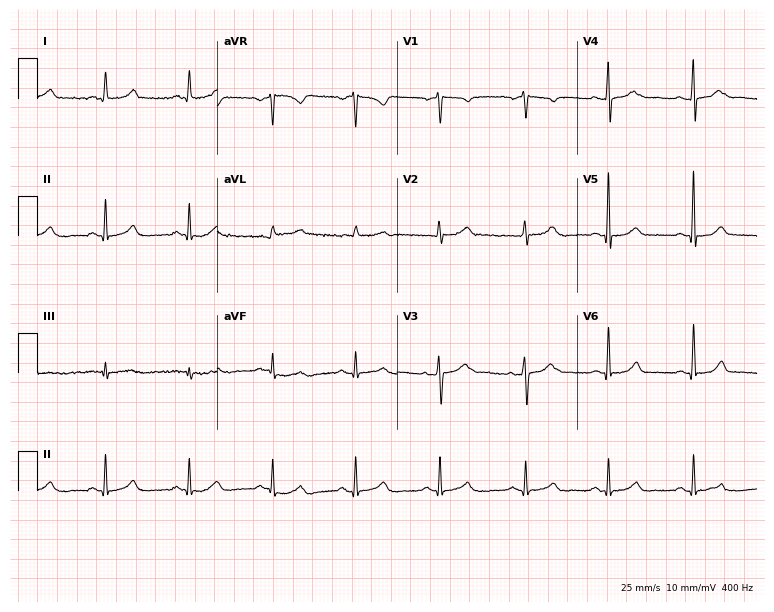
12-lead ECG from a female, 75 years old (7.3-second recording at 400 Hz). Recorded interpretation: within normal limits.